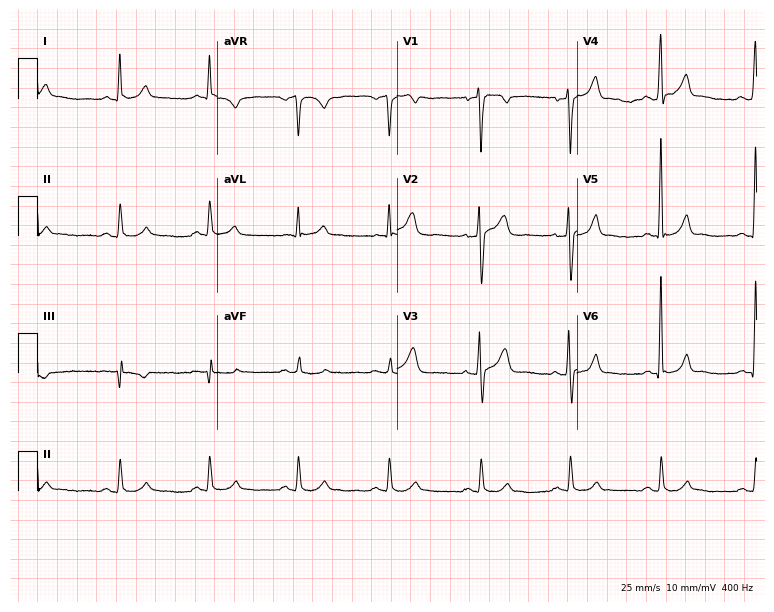
12-lead ECG (7.3-second recording at 400 Hz) from a 49-year-old male. Screened for six findings — first-degree AV block, right bundle branch block, left bundle branch block, sinus bradycardia, atrial fibrillation, sinus tachycardia — none is recorded.